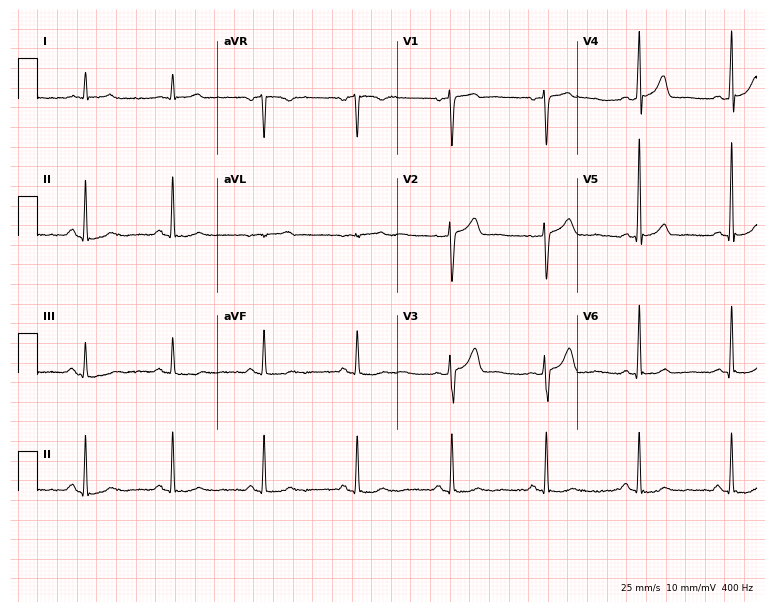
Standard 12-lead ECG recorded from a 54-year-old man (7.3-second recording at 400 Hz). Read as a normal ECG.